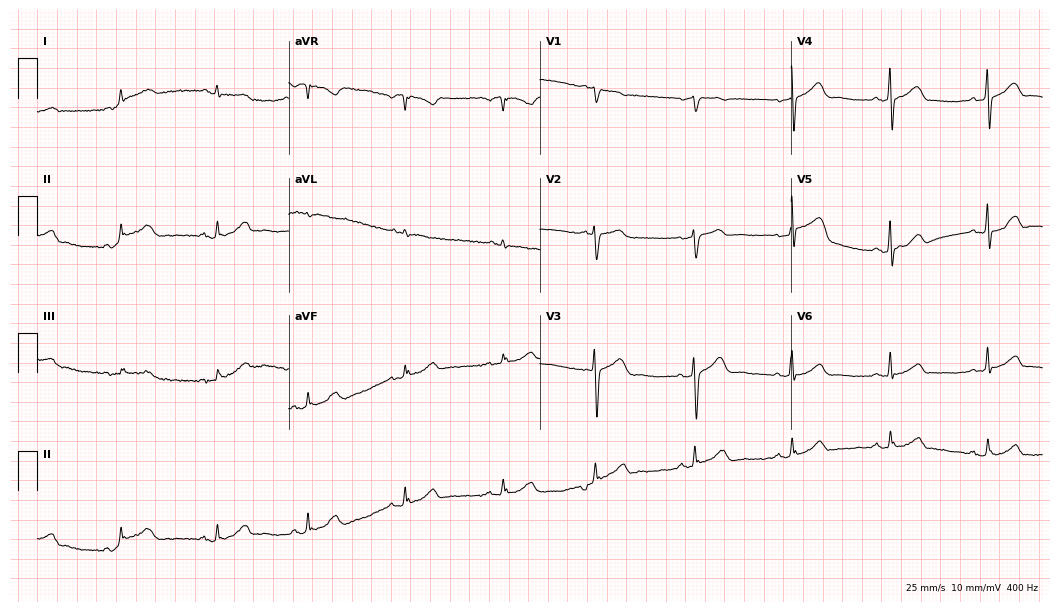
Electrocardiogram (10.2-second recording at 400 Hz), a man, 57 years old. Of the six screened findings (first-degree AV block, right bundle branch block, left bundle branch block, sinus bradycardia, atrial fibrillation, sinus tachycardia), none is recorded.